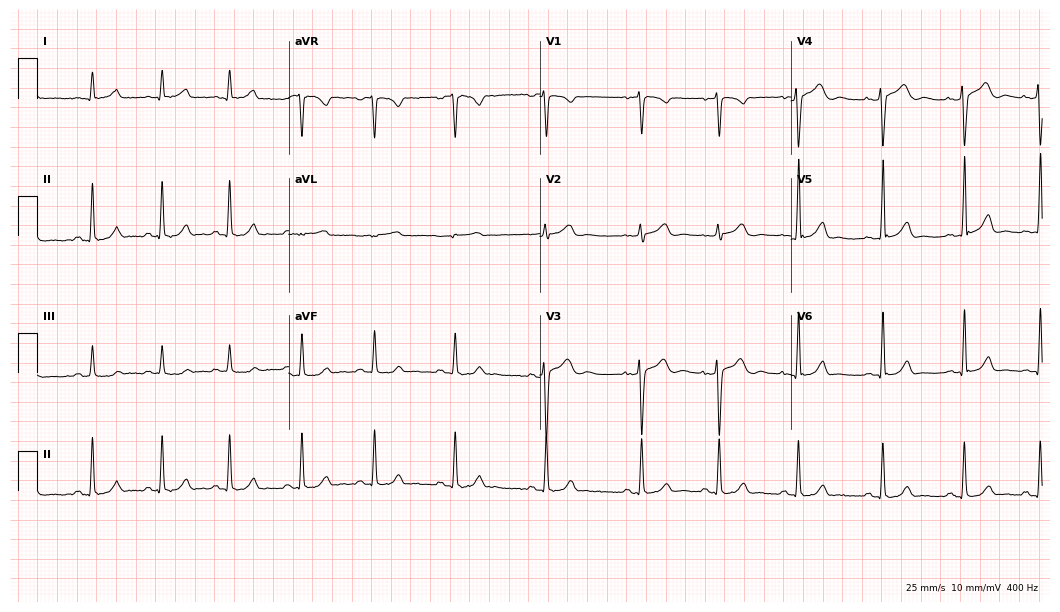
12-lead ECG from a female, 22 years old. Recorded interpretation: within normal limits.